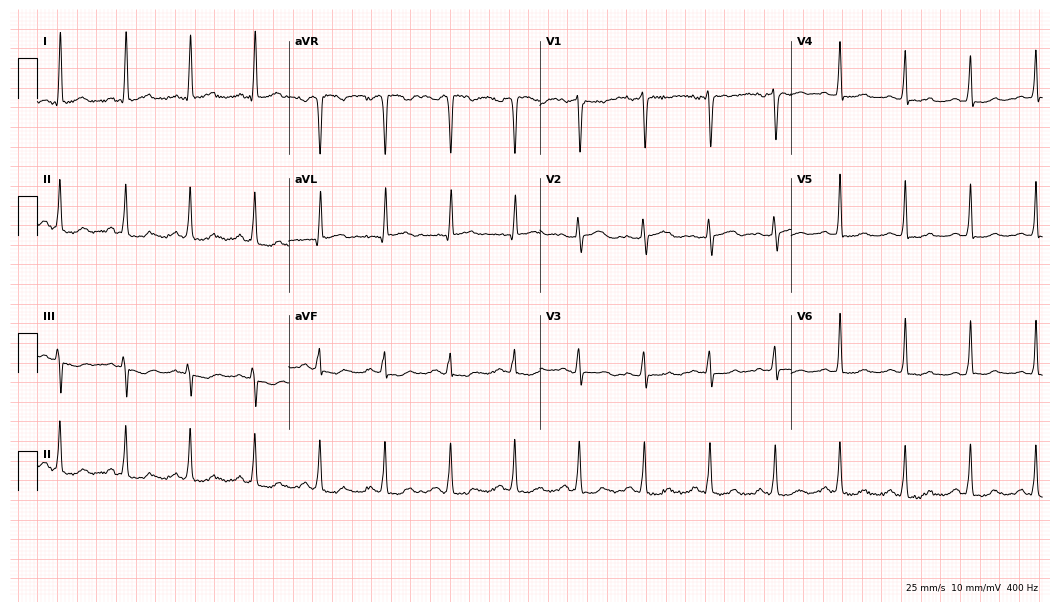
Resting 12-lead electrocardiogram. Patient: a 34-year-old woman. None of these six findings is recorded: first-degree AV block, right bundle branch block (RBBB), left bundle branch block (LBBB), sinus bradycardia, atrial fibrillation (AF), sinus tachycardia.